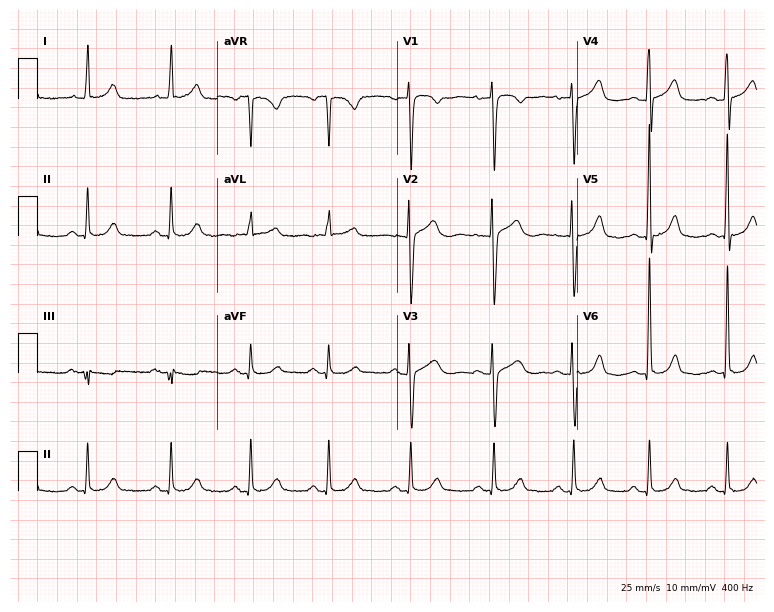
Resting 12-lead electrocardiogram (7.3-second recording at 400 Hz). Patient: a woman, 49 years old. Read as a normal ECG.